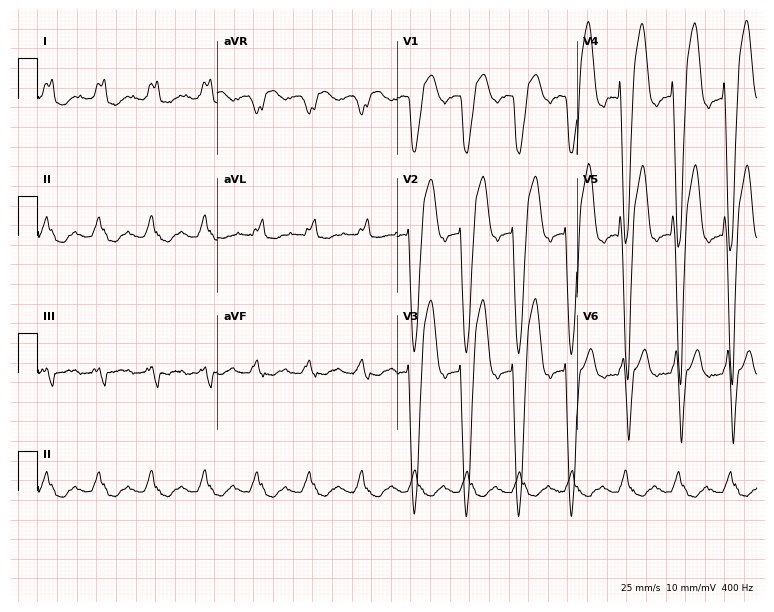
Resting 12-lead electrocardiogram. Patient: a man, 61 years old. The tracing shows left bundle branch block, sinus tachycardia (a sinus rate of 100 beats per minute or more).